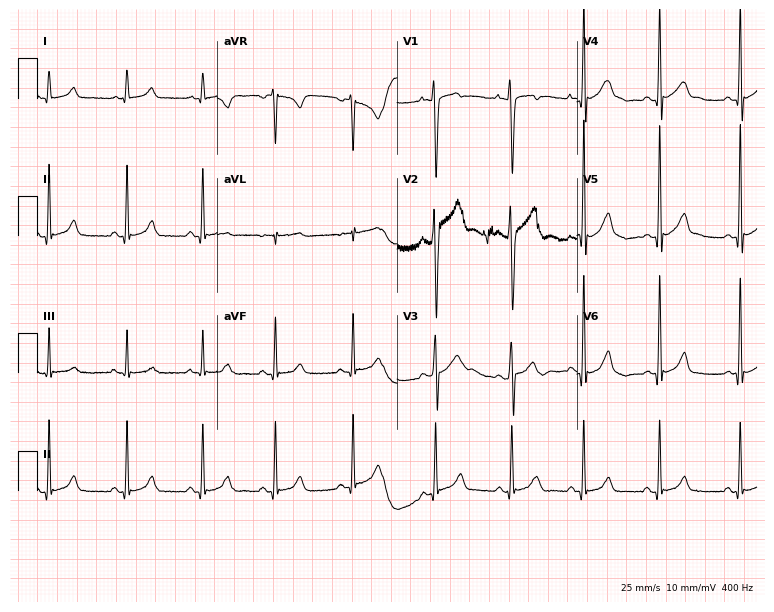
Standard 12-lead ECG recorded from a 17-year-old male (7.3-second recording at 400 Hz). Read as a normal ECG.